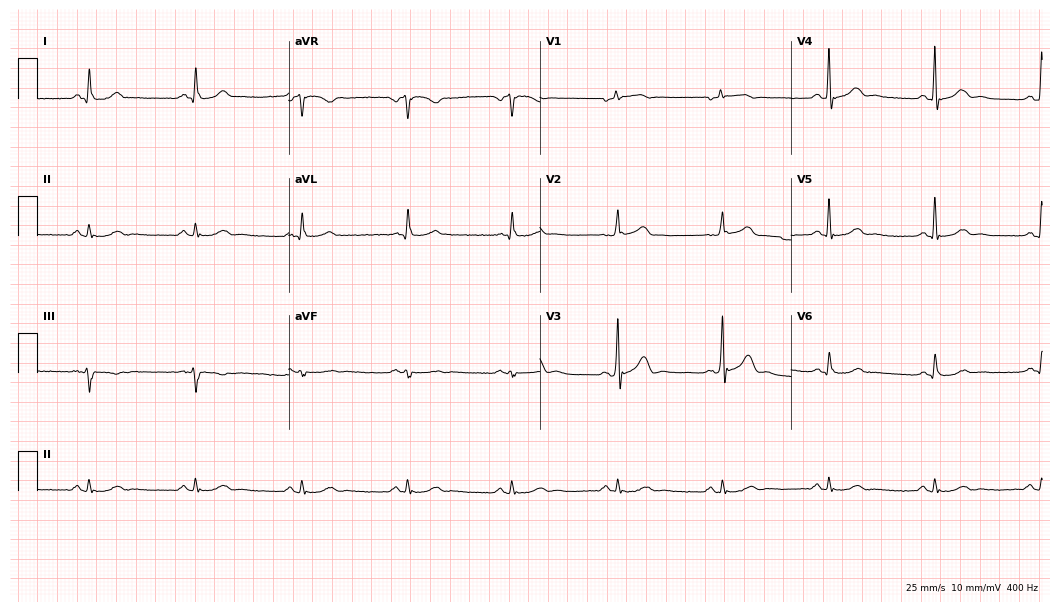
Standard 12-lead ECG recorded from a man, 57 years old. Read as a normal ECG.